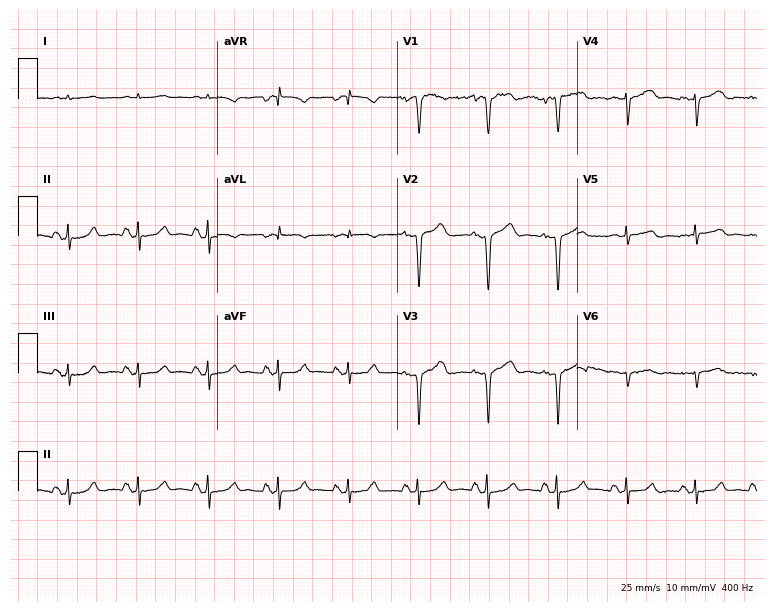
Standard 12-lead ECG recorded from a man, 62 years old. None of these six findings is recorded: first-degree AV block, right bundle branch block, left bundle branch block, sinus bradycardia, atrial fibrillation, sinus tachycardia.